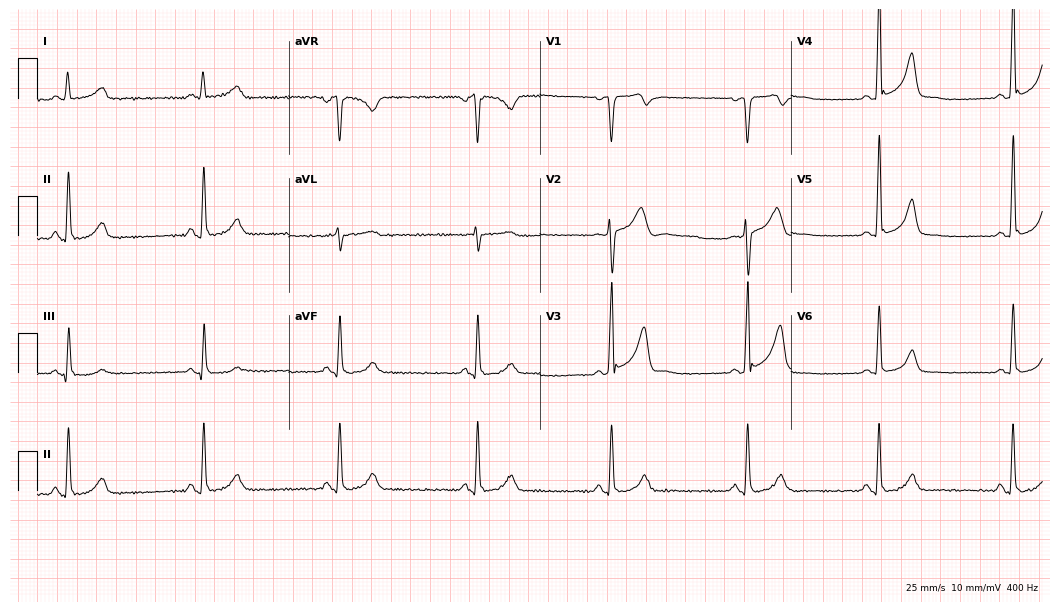
Electrocardiogram, a male patient, 57 years old. Interpretation includes sinus bradycardia (a sinus rate of 50 beats per minute or less).